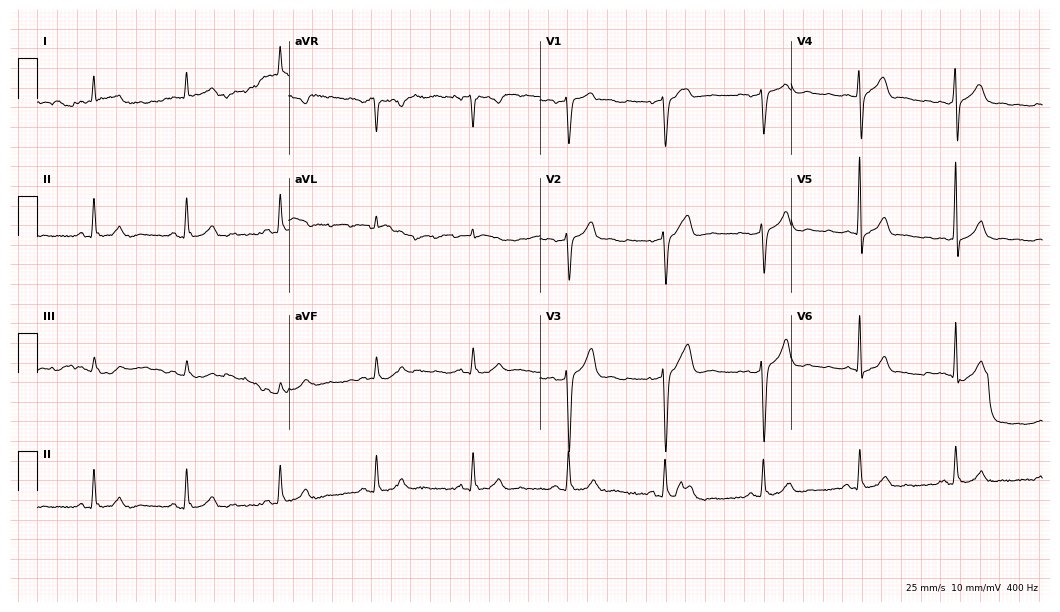
Standard 12-lead ECG recorded from a man, 60 years old. None of these six findings is recorded: first-degree AV block, right bundle branch block, left bundle branch block, sinus bradycardia, atrial fibrillation, sinus tachycardia. Only these six findings were labelled.